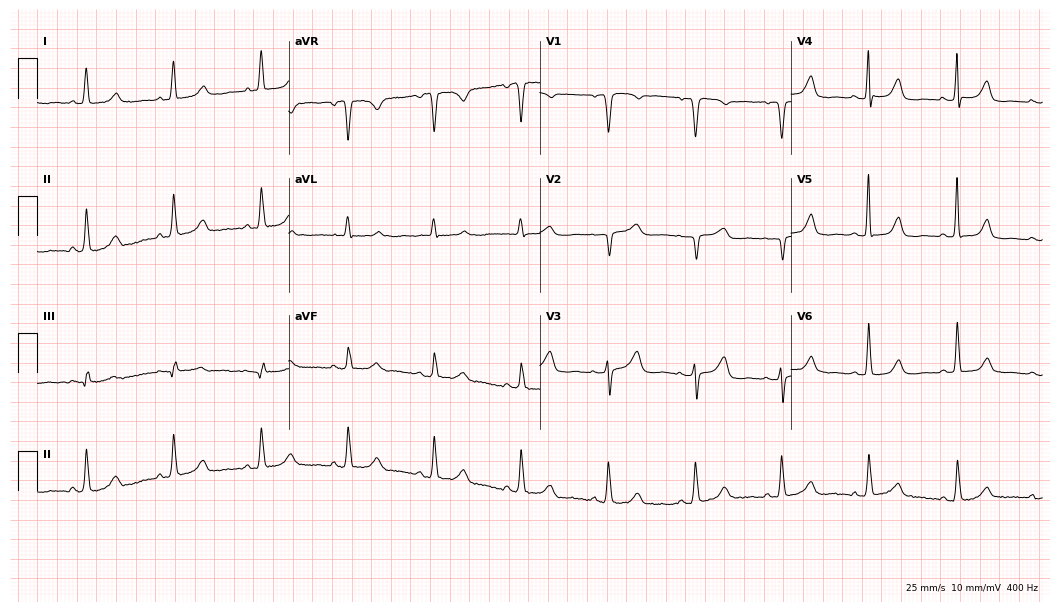
12-lead ECG from a 74-year-old woman (10.2-second recording at 400 Hz). Recorded interpretation: within normal limits.